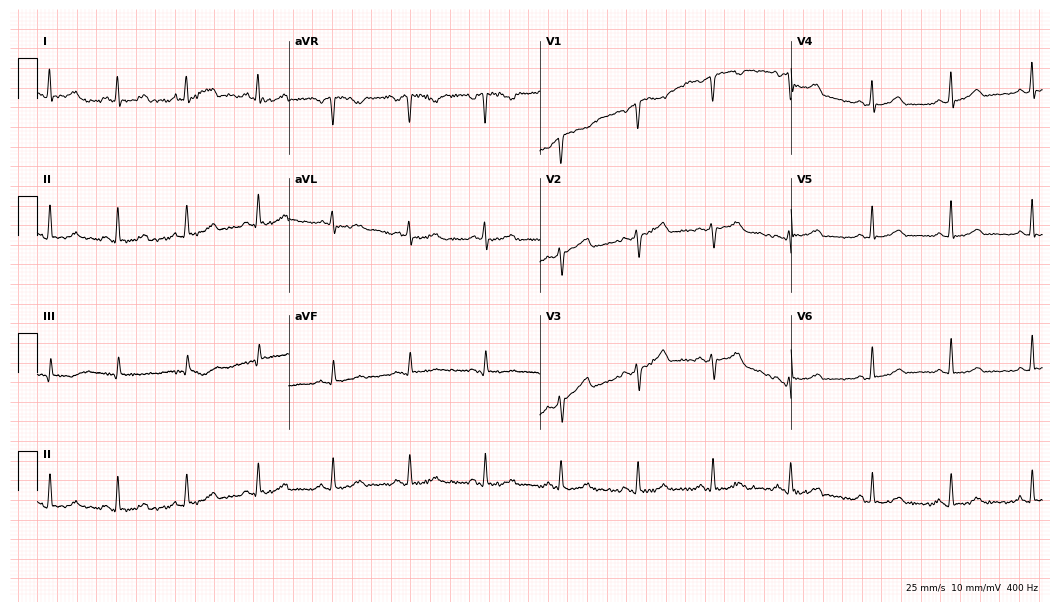
Electrocardiogram, a 45-year-old female. Overall reading on record: normal ECG.